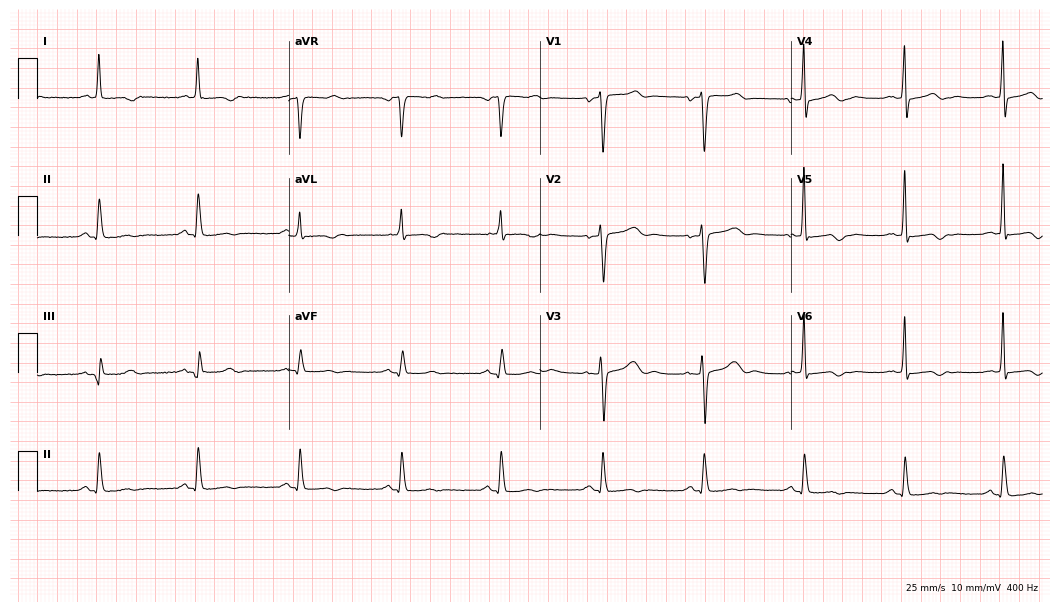
ECG — a woman, 68 years old. Screened for six findings — first-degree AV block, right bundle branch block, left bundle branch block, sinus bradycardia, atrial fibrillation, sinus tachycardia — none is recorded. Findings outside these six are not listed.